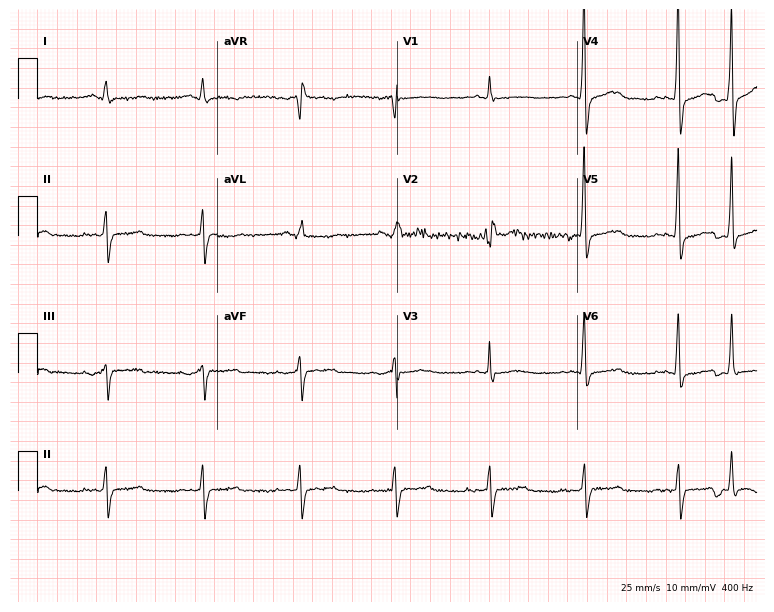
Standard 12-lead ECG recorded from a man, 69 years old (7.3-second recording at 400 Hz). None of these six findings is recorded: first-degree AV block, right bundle branch block, left bundle branch block, sinus bradycardia, atrial fibrillation, sinus tachycardia.